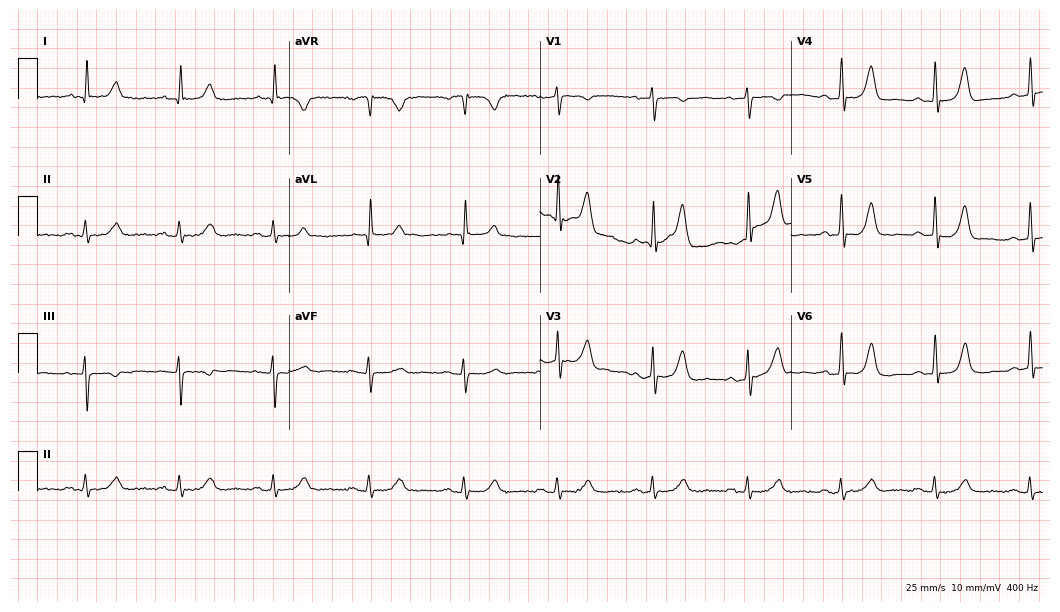
12-lead ECG (10.2-second recording at 400 Hz) from a male patient, 83 years old. Labelled as a normal ECG.